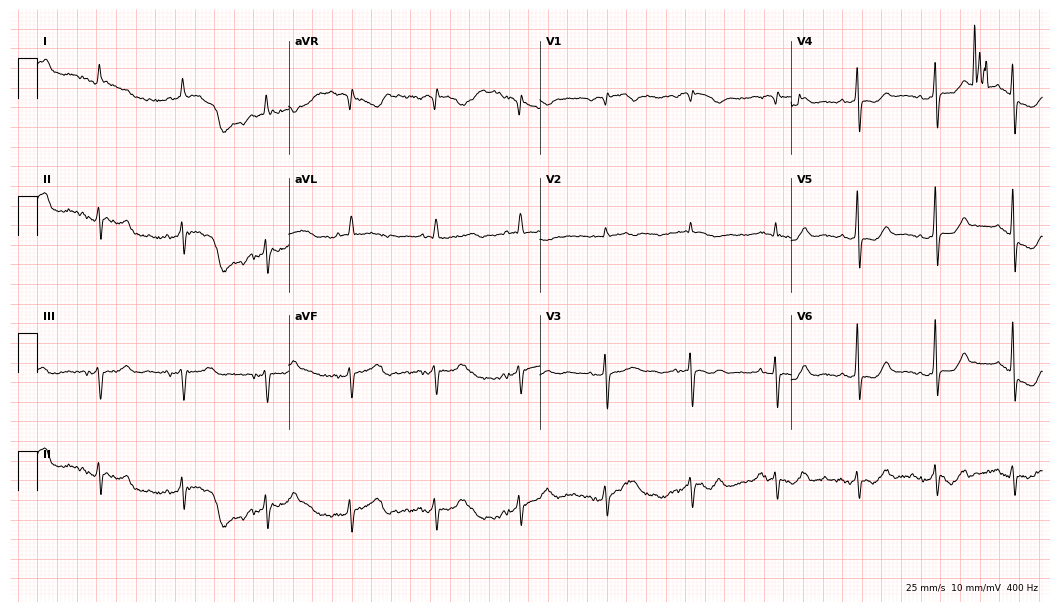
Standard 12-lead ECG recorded from a woman, 78 years old (10.2-second recording at 400 Hz). None of these six findings is recorded: first-degree AV block, right bundle branch block (RBBB), left bundle branch block (LBBB), sinus bradycardia, atrial fibrillation (AF), sinus tachycardia. Only these six findings were labelled.